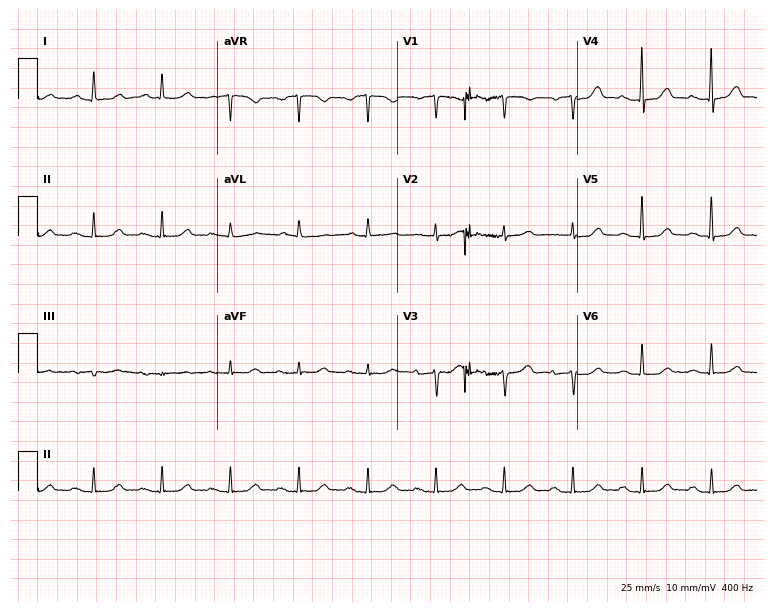
12-lead ECG from a woman, 62 years old. Labelled as a normal ECG.